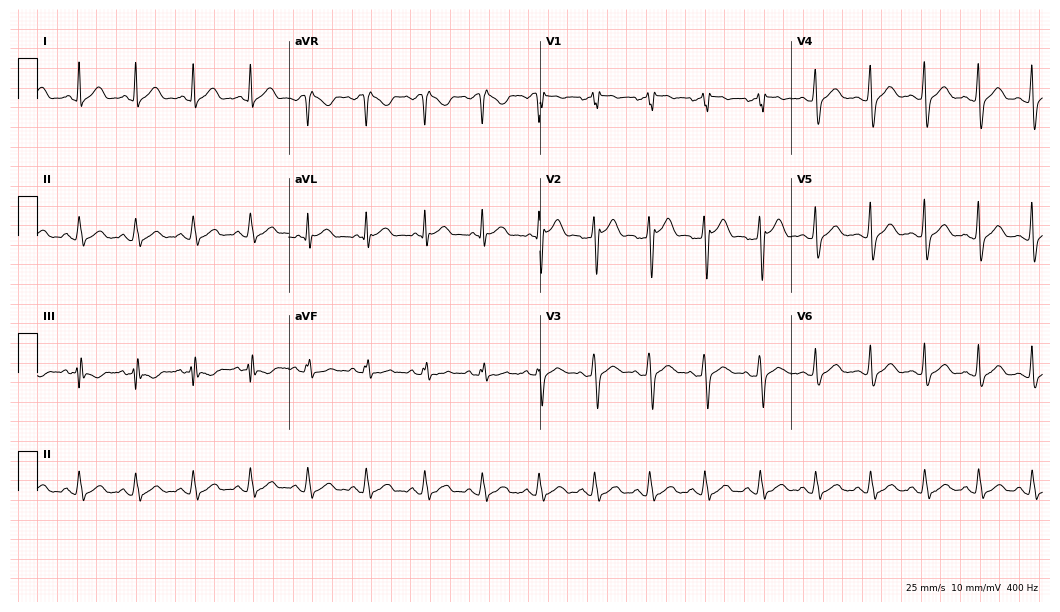
ECG — a 28-year-old man. Findings include sinus tachycardia (a sinus rate of 100 beats per minute or more).